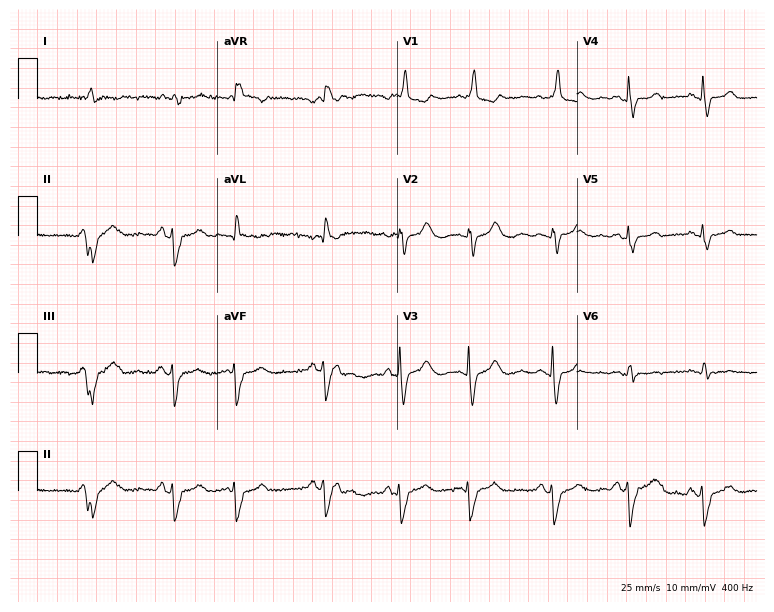
Electrocardiogram, a 74-year-old man. Interpretation includes right bundle branch block.